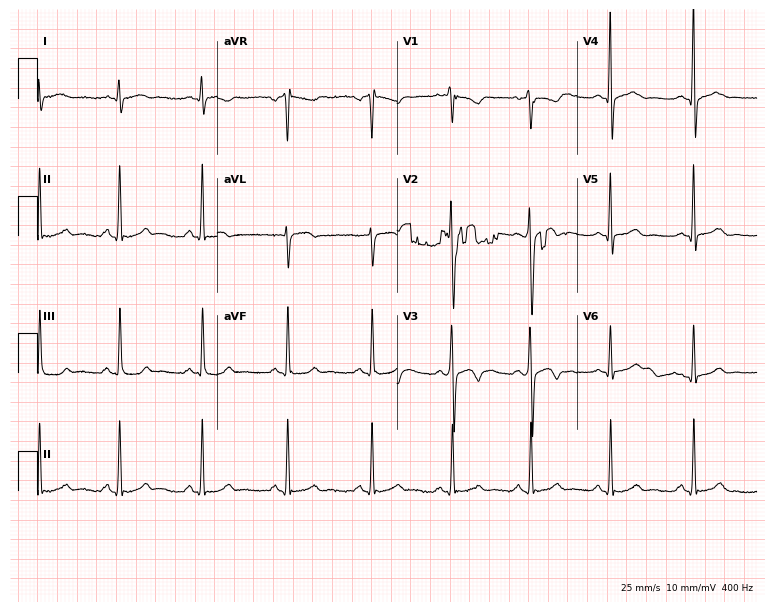
12-lead ECG (7.3-second recording at 400 Hz) from a 23-year-old male patient. Labelled as a normal ECG.